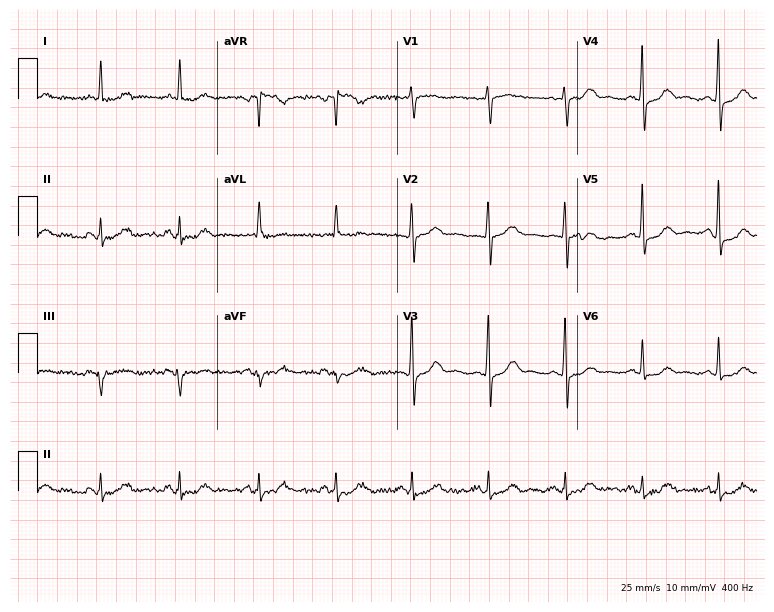
12-lead ECG from a 73-year-old woman. Screened for six findings — first-degree AV block, right bundle branch block, left bundle branch block, sinus bradycardia, atrial fibrillation, sinus tachycardia — none is recorded. Findings outside these six are not listed.